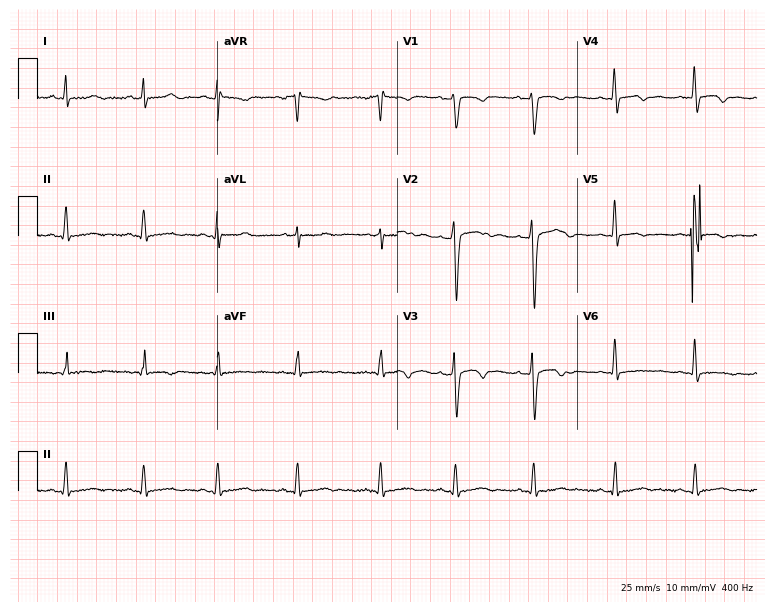
Electrocardiogram (7.3-second recording at 400 Hz), a 19-year-old woman. Of the six screened findings (first-degree AV block, right bundle branch block, left bundle branch block, sinus bradycardia, atrial fibrillation, sinus tachycardia), none is recorded.